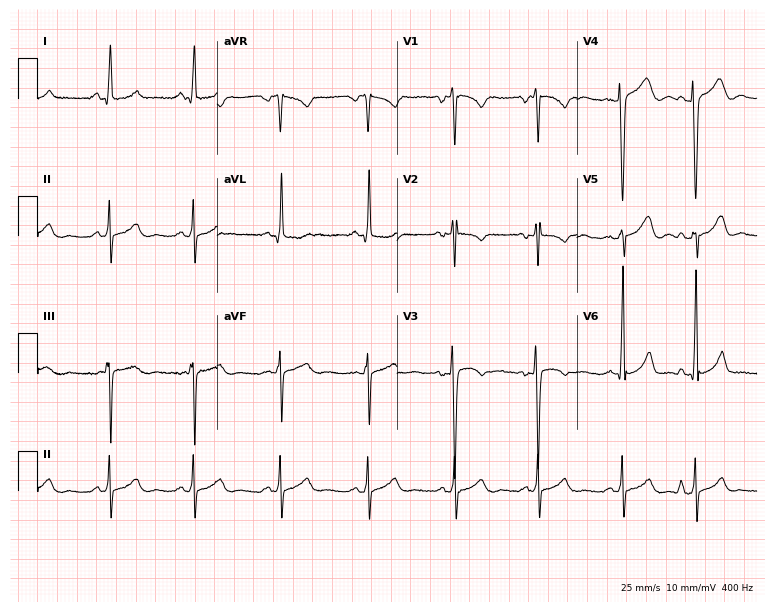
Electrocardiogram, a 33-year-old female patient. Of the six screened findings (first-degree AV block, right bundle branch block, left bundle branch block, sinus bradycardia, atrial fibrillation, sinus tachycardia), none is recorded.